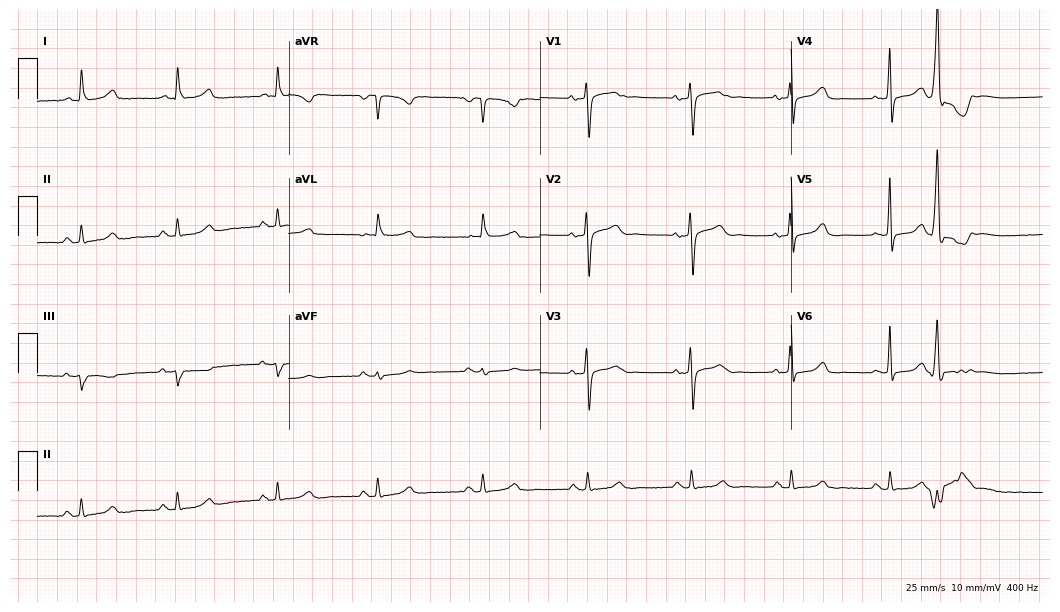
12-lead ECG from a woman, 65 years old (10.2-second recording at 400 Hz). Recorded interpretation: within normal limits.